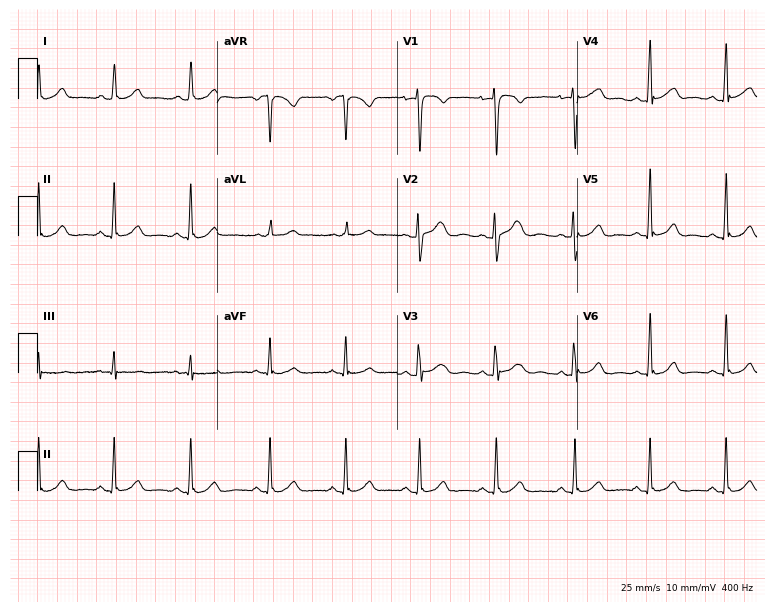
Electrocardiogram (7.3-second recording at 400 Hz), a 37-year-old female. Overall reading on record: normal ECG.